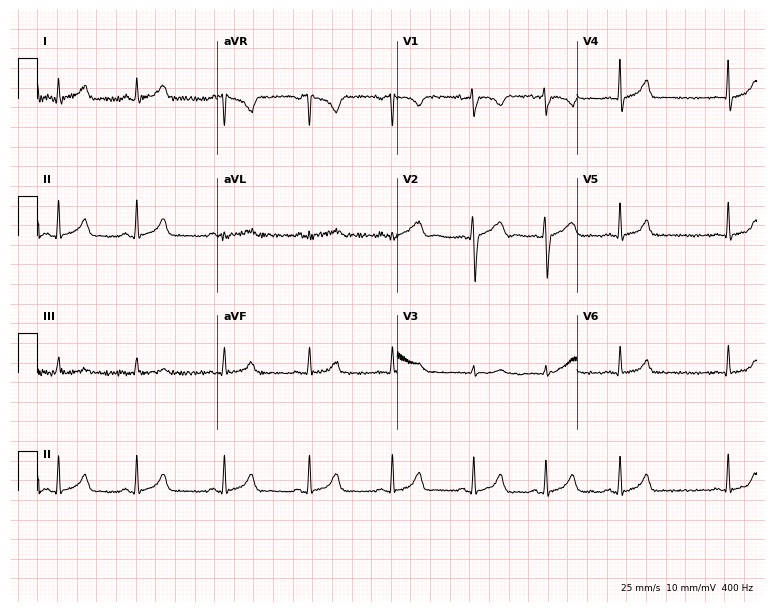
Electrocardiogram, a 24-year-old female. Overall reading on record: normal ECG.